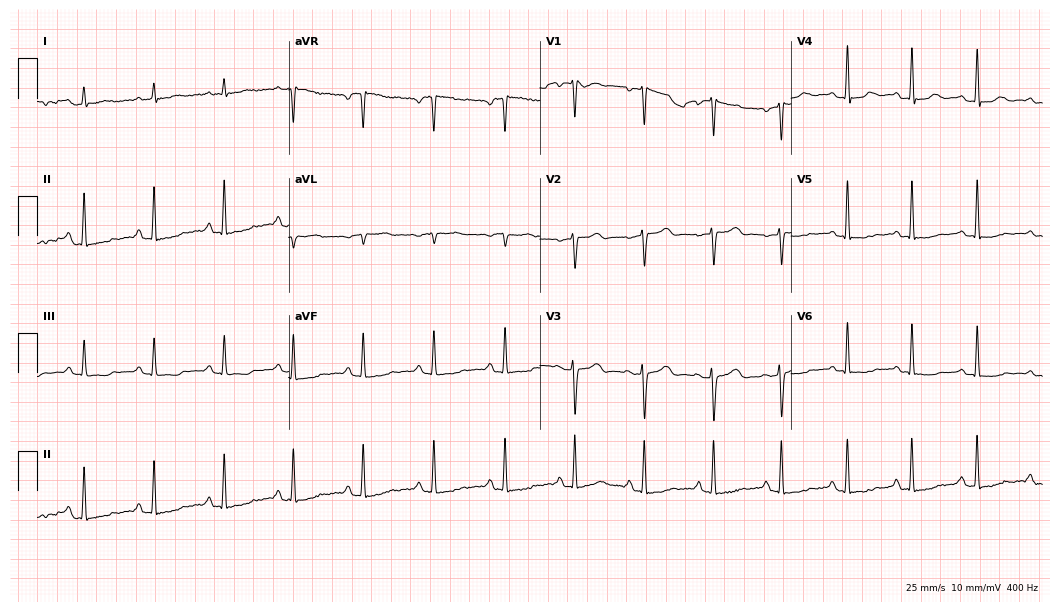
12-lead ECG from a 44-year-old woman. No first-degree AV block, right bundle branch block, left bundle branch block, sinus bradycardia, atrial fibrillation or sinus tachycardia recorded for this tracing. Findings outside these six are not listed.